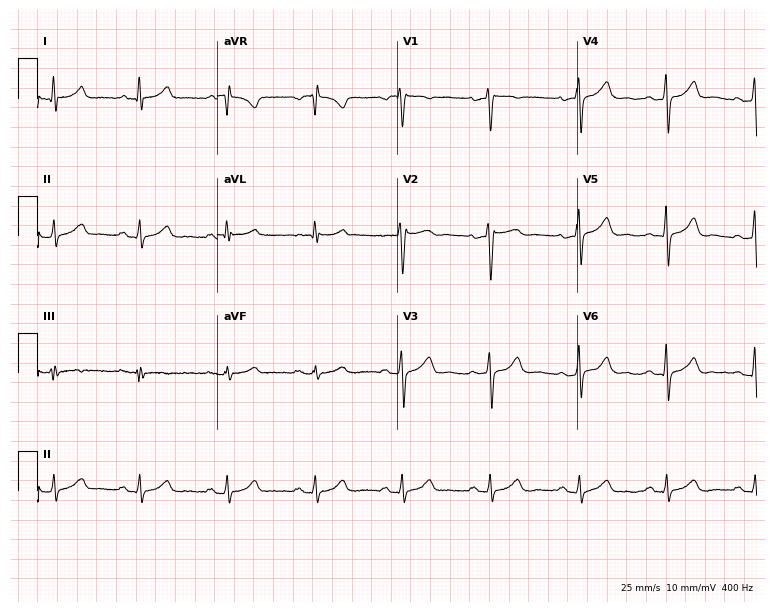
12-lead ECG from a 40-year-old female patient. Labelled as a normal ECG.